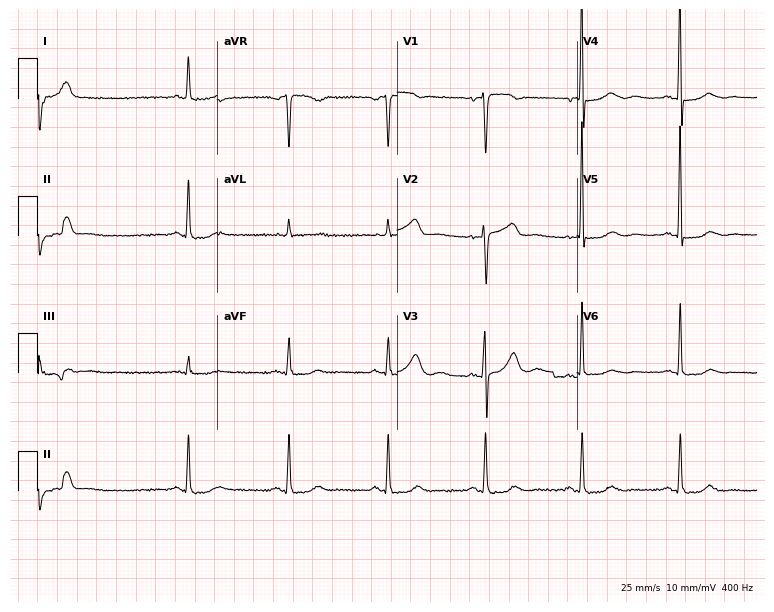
Standard 12-lead ECG recorded from an 81-year-old woman. None of these six findings is recorded: first-degree AV block, right bundle branch block, left bundle branch block, sinus bradycardia, atrial fibrillation, sinus tachycardia. Other findings, if any, are not listed.